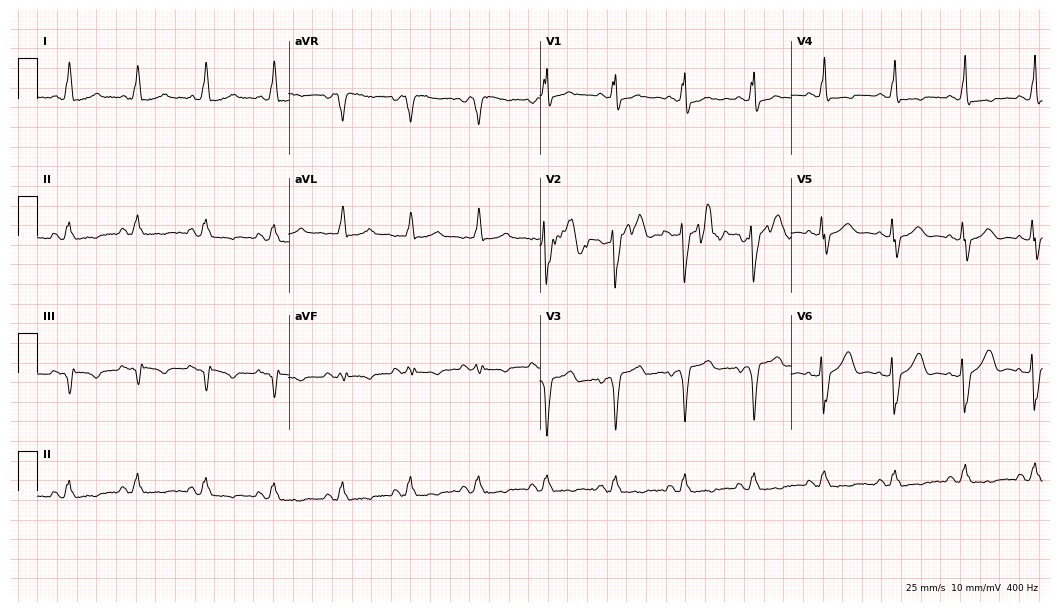
12-lead ECG (10.2-second recording at 400 Hz) from a 63-year-old female. Screened for six findings — first-degree AV block, right bundle branch block (RBBB), left bundle branch block (LBBB), sinus bradycardia, atrial fibrillation (AF), sinus tachycardia — none is recorded. Other findings, if any, are not listed.